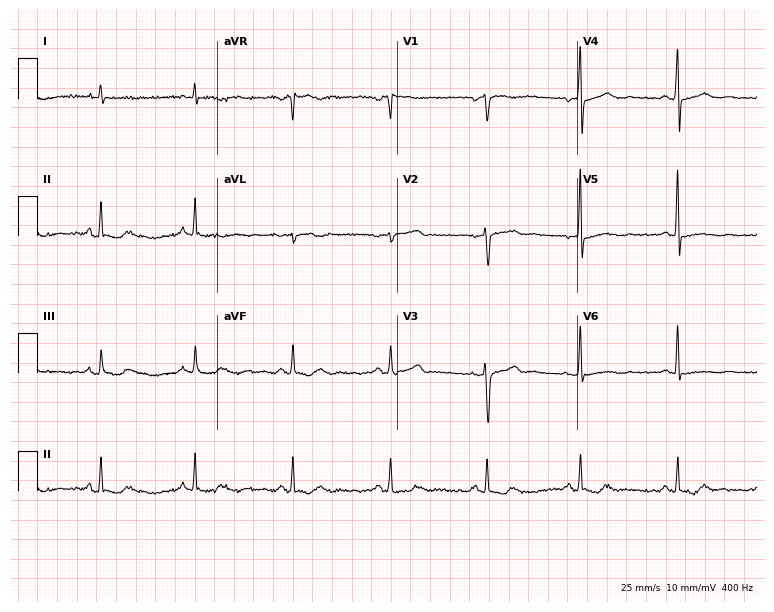
ECG — a male, 58 years old. Screened for six findings — first-degree AV block, right bundle branch block (RBBB), left bundle branch block (LBBB), sinus bradycardia, atrial fibrillation (AF), sinus tachycardia — none is recorded. Only these six findings were labelled.